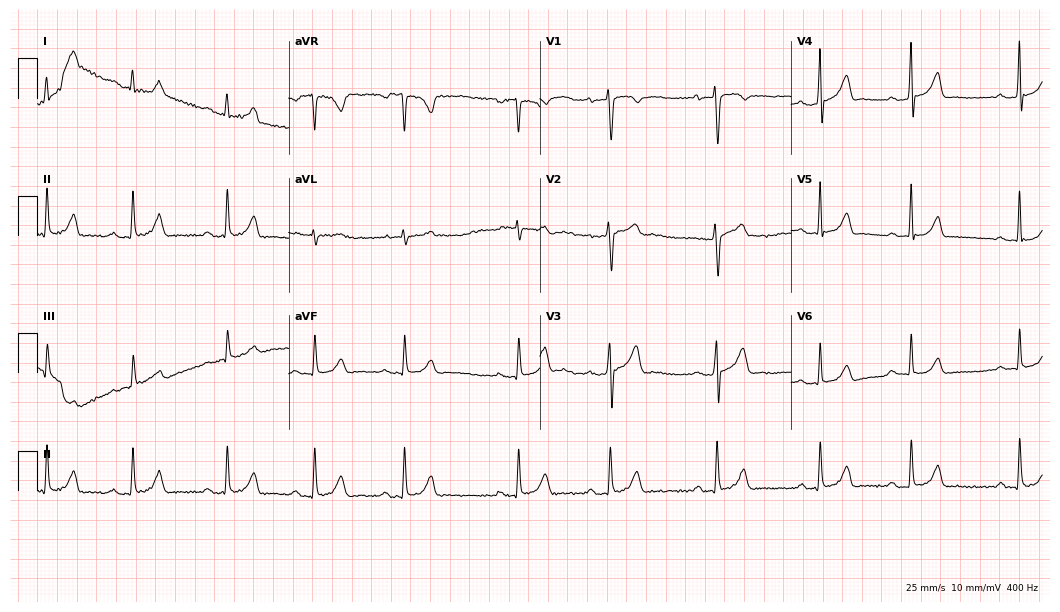
12-lead ECG from a female, 19 years old. Screened for six findings — first-degree AV block, right bundle branch block, left bundle branch block, sinus bradycardia, atrial fibrillation, sinus tachycardia — none is recorded. Only these six findings were labelled.